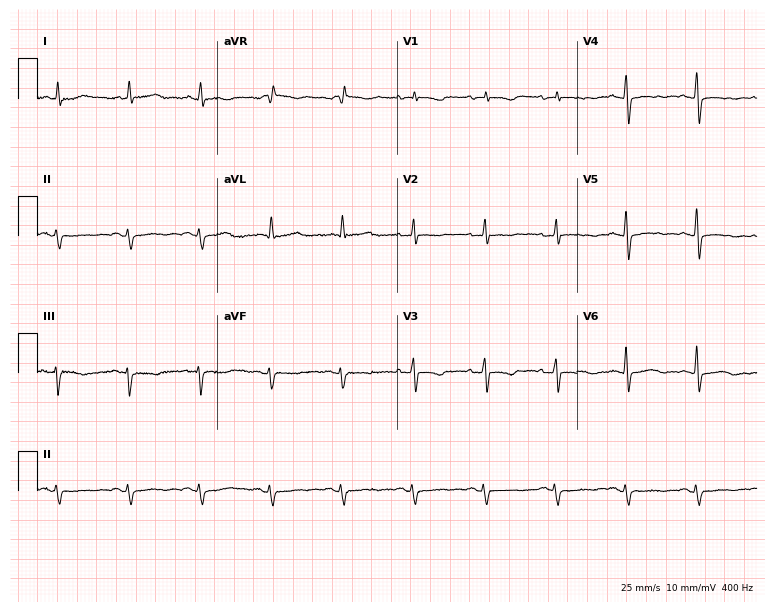
12-lead ECG (7.3-second recording at 400 Hz) from a woman, 78 years old. Screened for six findings — first-degree AV block, right bundle branch block, left bundle branch block, sinus bradycardia, atrial fibrillation, sinus tachycardia — none is recorded. Other findings, if any, are not listed.